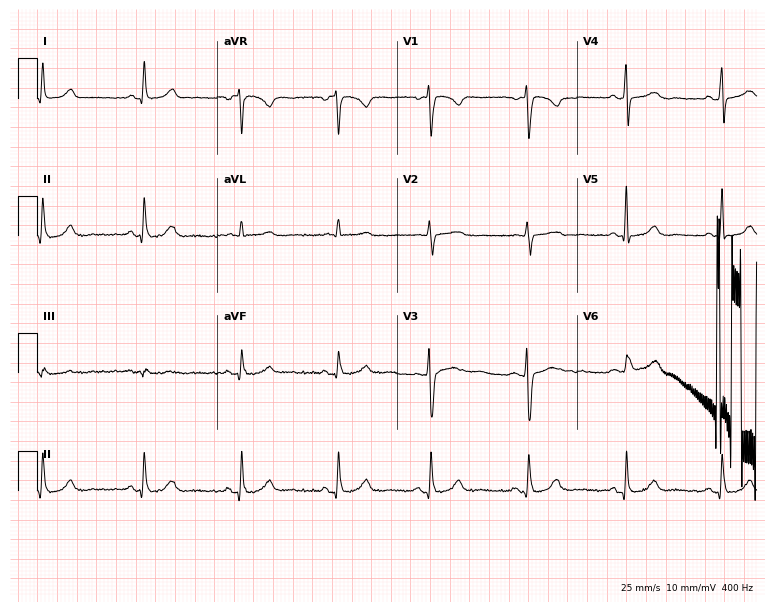
Standard 12-lead ECG recorded from a 53-year-old female. Read as a normal ECG.